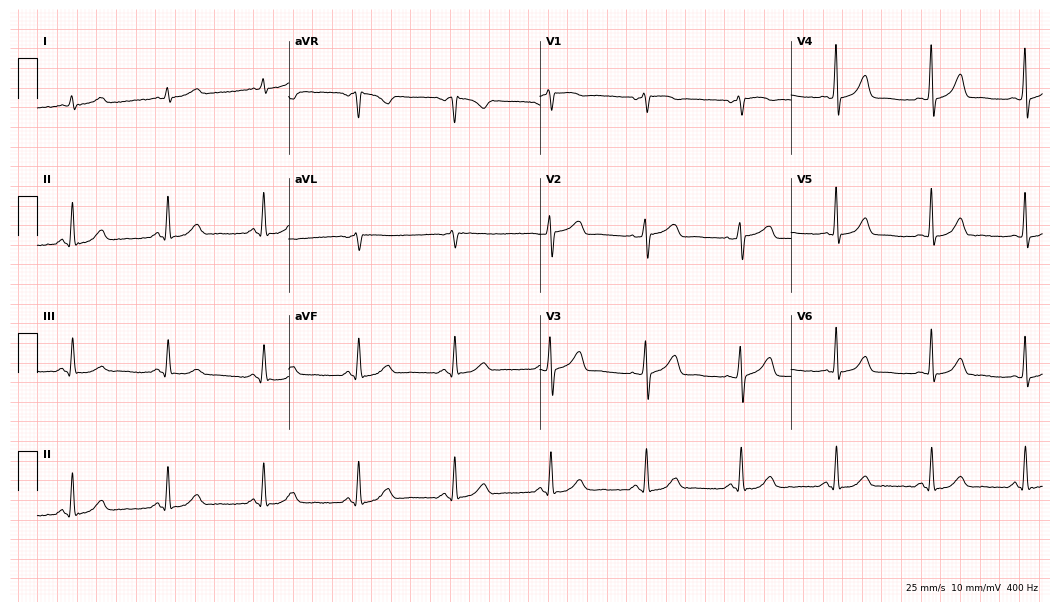
ECG — a male, 59 years old. Labelled as a normal ECG.